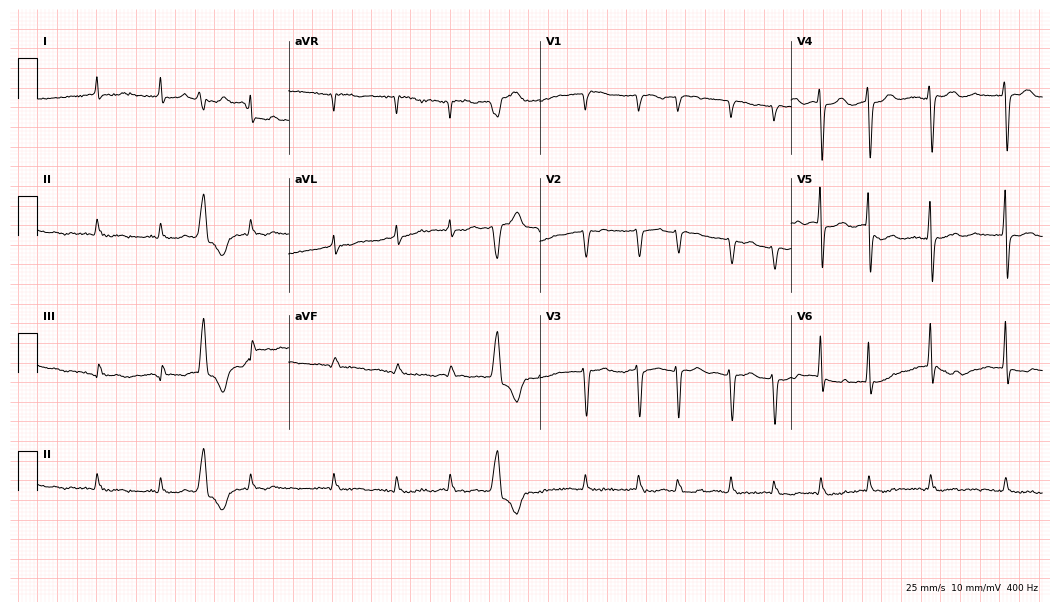
ECG — a female, 78 years old. Findings include atrial fibrillation.